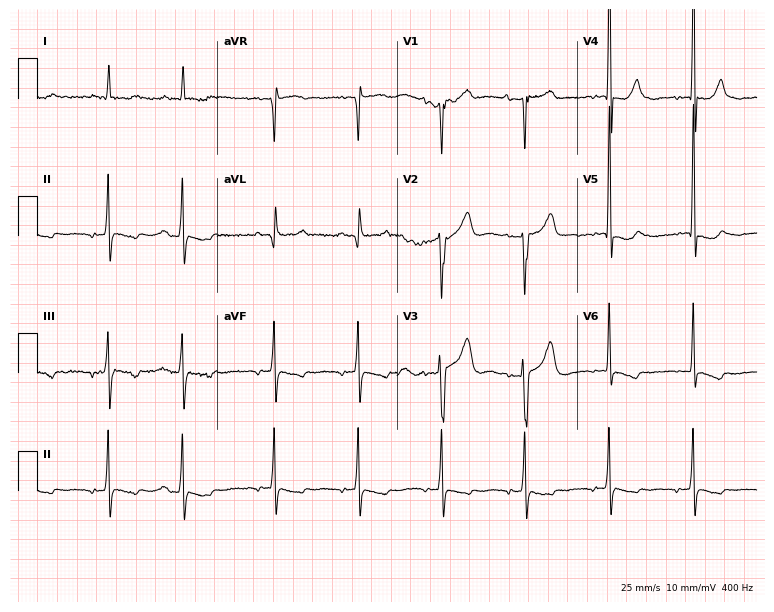
12-lead ECG from an 84-year-old male patient (7.3-second recording at 400 Hz). No first-degree AV block, right bundle branch block, left bundle branch block, sinus bradycardia, atrial fibrillation or sinus tachycardia recorded for this tracing. Findings outside these six are not listed.